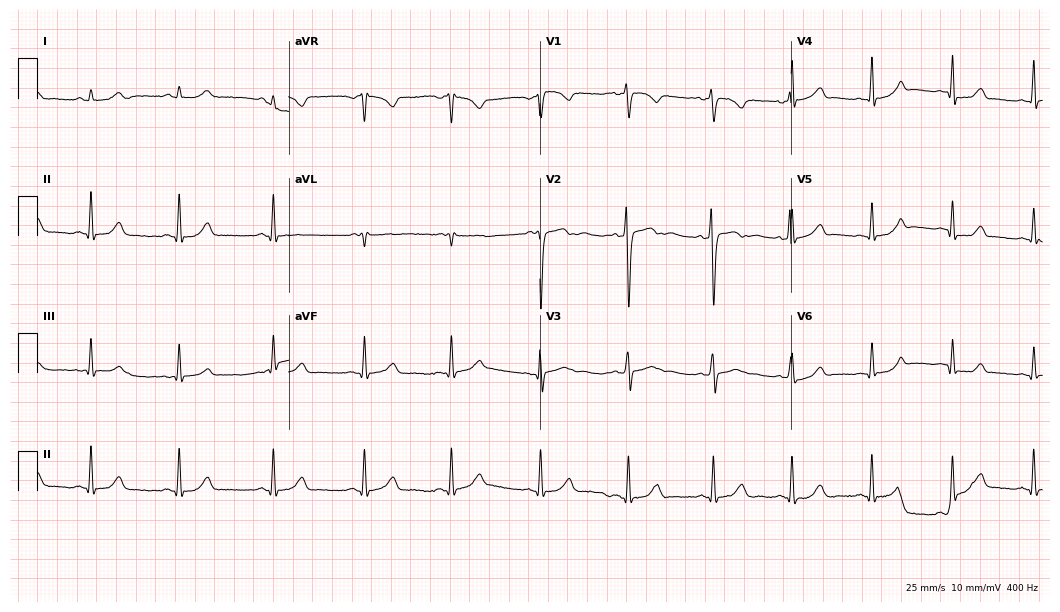
ECG — a woman, 19 years old. Labelled as a normal ECG.